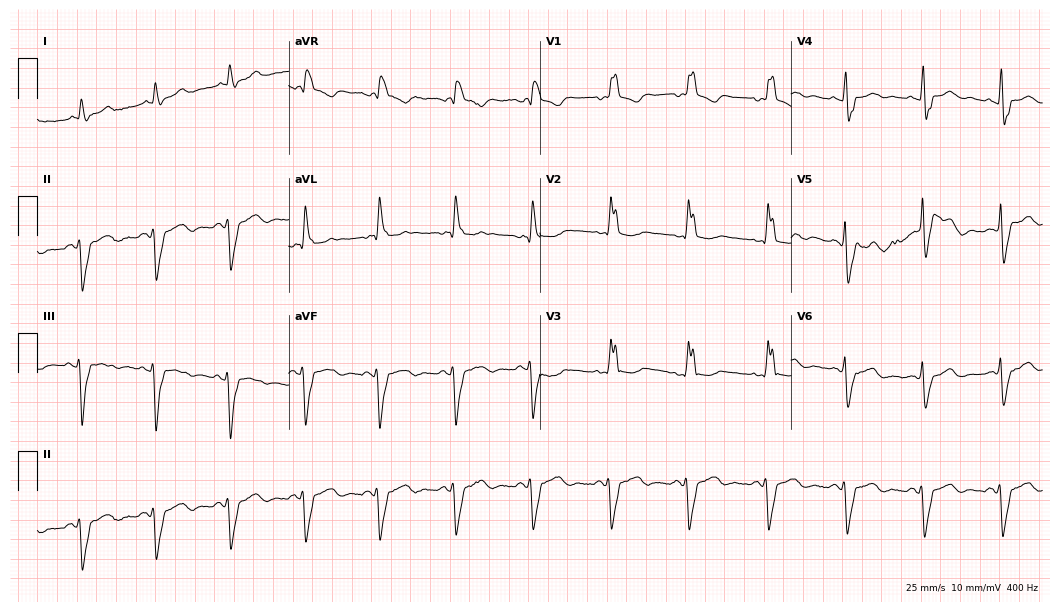
Electrocardiogram, an 80-year-old female. Interpretation includes right bundle branch block (RBBB).